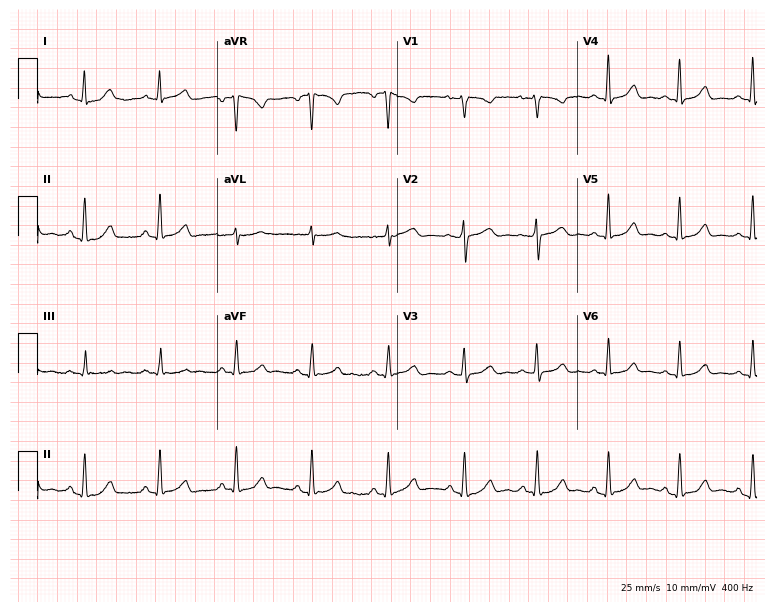
ECG (7.3-second recording at 400 Hz) — a 41-year-old female. Labelled as a normal ECG.